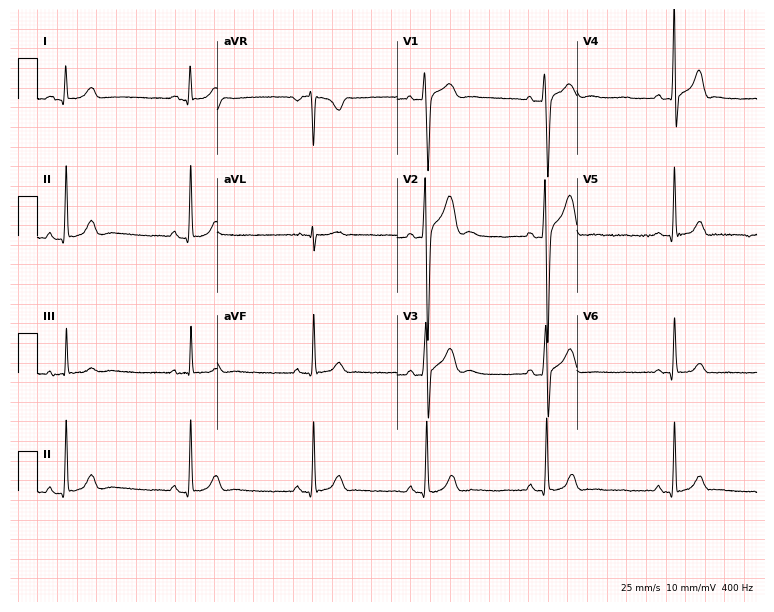
ECG — a 22-year-old man. Findings include sinus bradycardia (a sinus rate of 50 beats per minute or less).